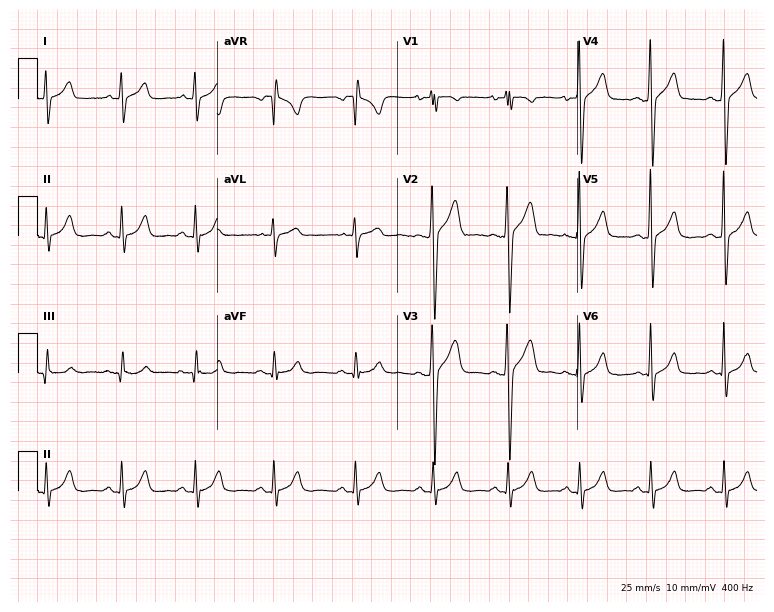
12-lead ECG from a male patient, 22 years old (7.3-second recording at 400 Hz). No first-degree AV block, right bundle branch block (RBBB), left bundle branch block (LBBB), sinus bradycardia, atrial fibrillation (AF) or sinus tachycardia recorded for this tracing.